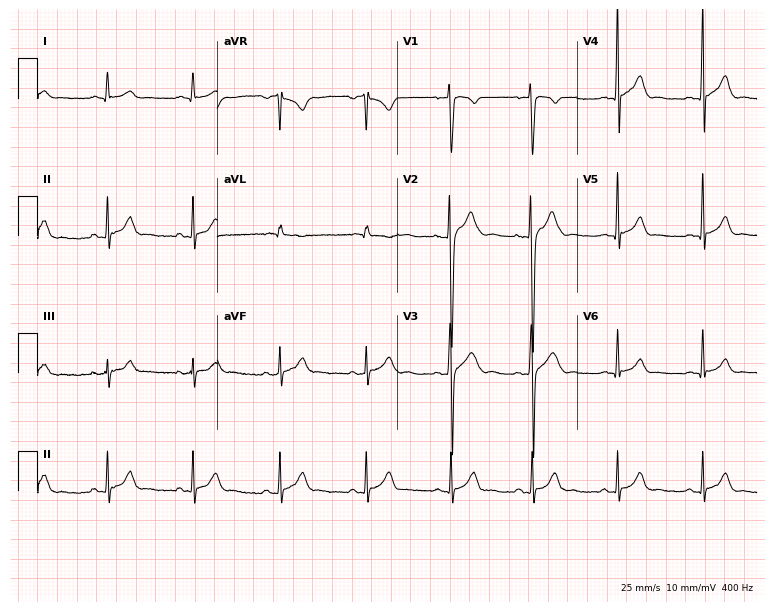
12-lead ECG from a man, 18 years old. Screened for six findings — first-degree AV block, right bundle branch block, left bundle branch block, sinus bradycardia, atrial fibrillation, sinus tachycardia — none is recorded. Other findings, if any, are not listed.